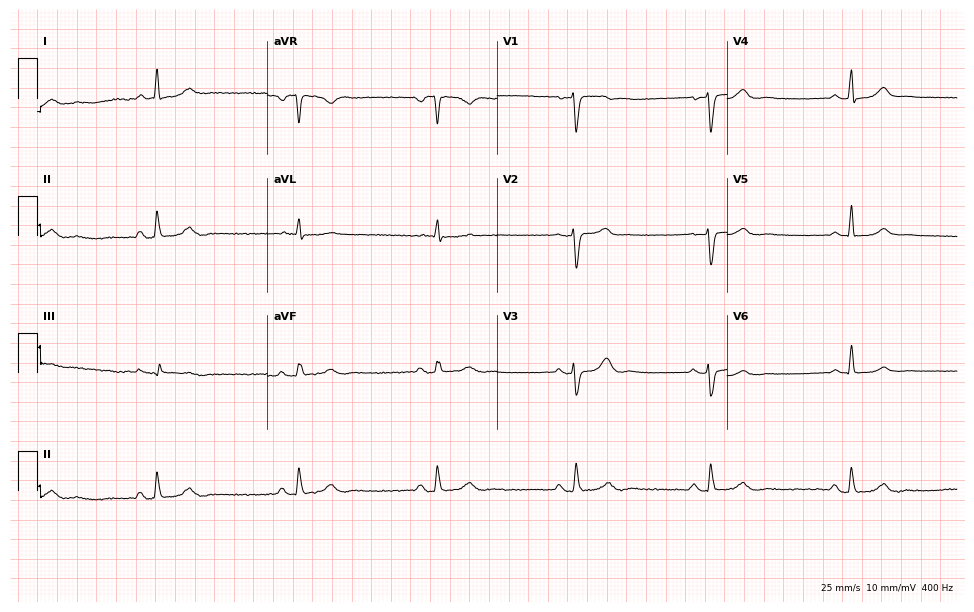
Electrocardiogram, a woman, 67 years old. Interpretation includes sinus bradycardia (a sinus rate of 50 beats per minute or less).